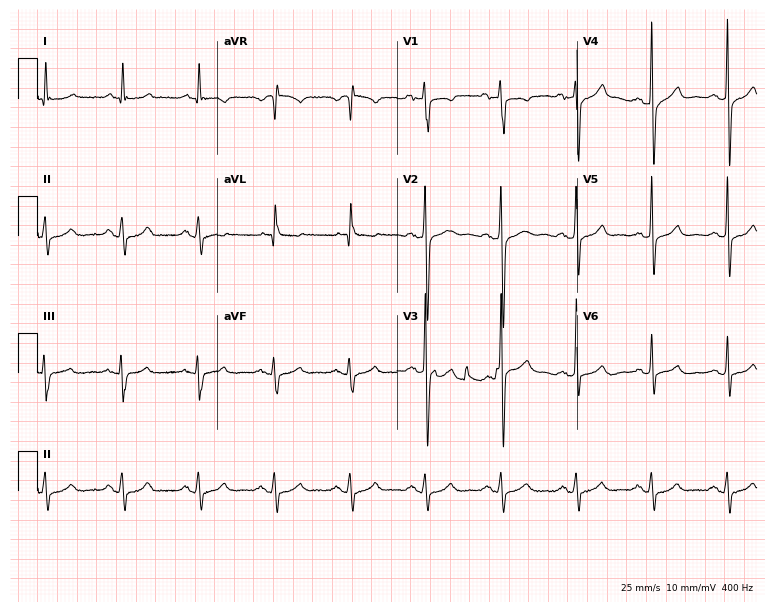
Standard 12-lead ECG recorded from a 74-year-old male patient. None of these six findings is recorded: first-degree AV block, right bundle branch block, left bundle branch block, sinus bradycardia, atrial fibrillation, sinus tachycardia.